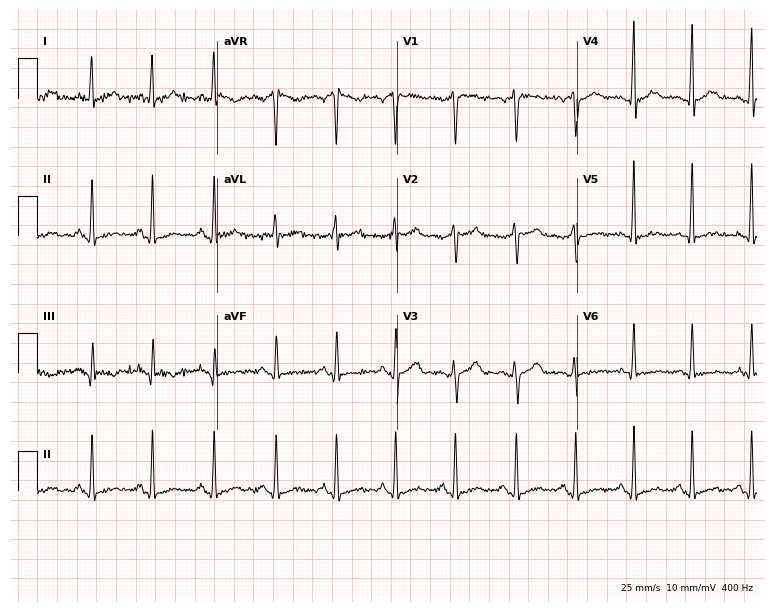
Electrocardiogram (7.3-second recording at 400 Hz), a man, 38 years old. Overall reading on record: normal ECG.